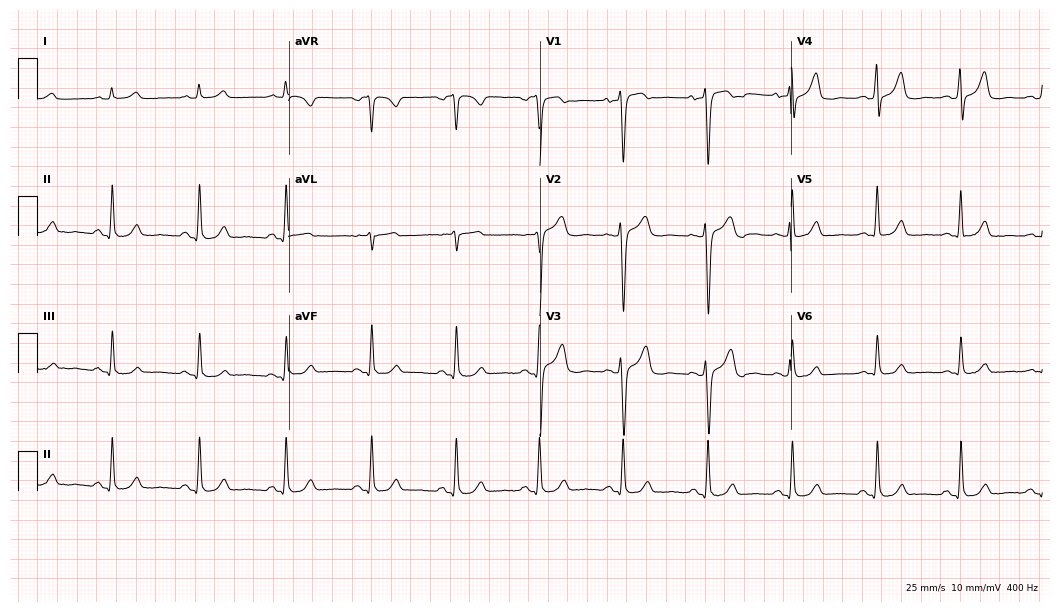
12-lead ECG from a 56-year-old man (10.2-second recording at 400 Hz). No first-degree AV block, right bundle branch block, left bundle branch block, sinus bradycardia, atrial fibrillation or sinus tachycardia recorded for this tracing.